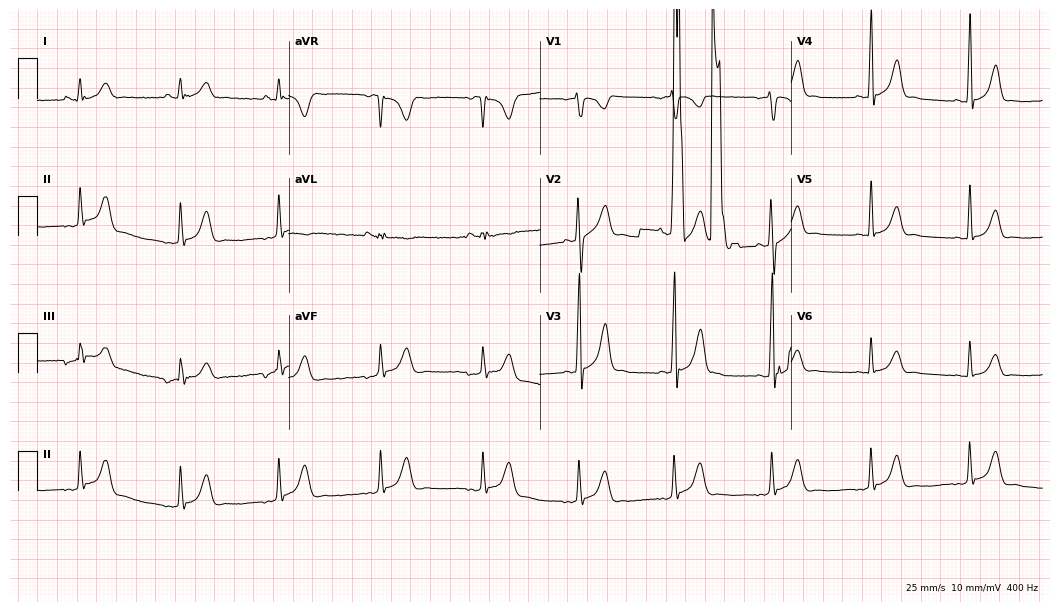
12-lead ECG (10.2-second recording at 400 Hz) from an 18-year-old man. Screened for six findings — first-degree AV block, right bundle branch block, left bundle branch block, sinus bradycardia, atrial fibrillation, sinus tachycardia — none is recorded.